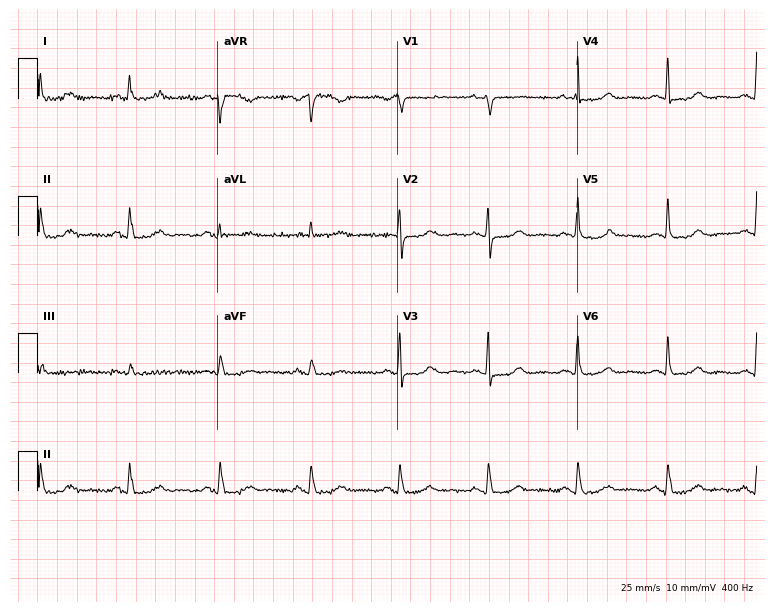
Standard 12-lead ECG recorded from a 64-year-old woman. Read as a normal ECG.